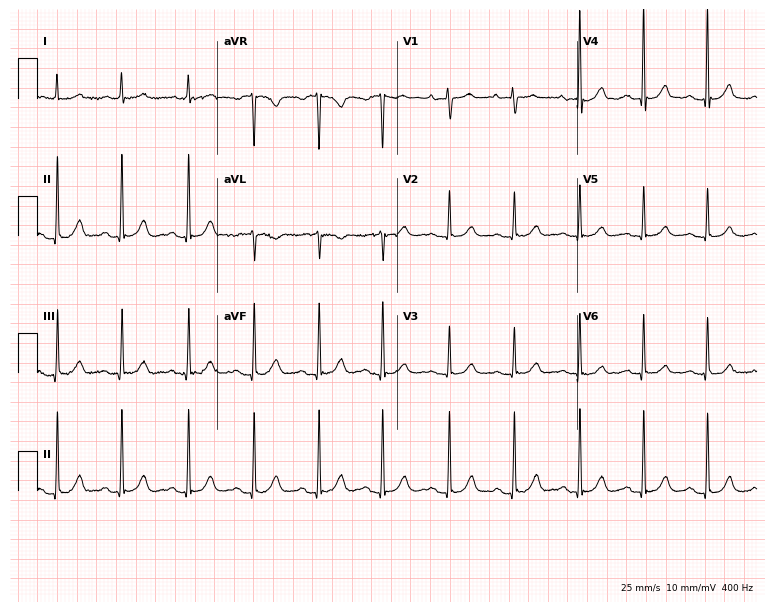
12-lead ECG (7.3-second recording at 400 Hz) from a male patient, 82 years old. Labelled as a normal ECG.